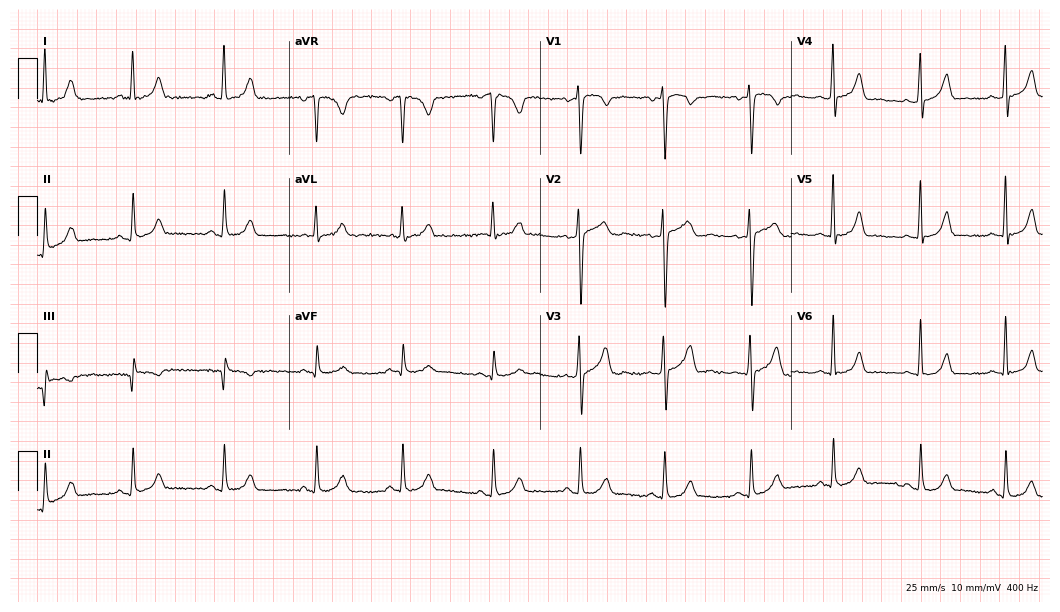
12-lead ECG (10.2-second recording at 400 Hz) from a 30-year-old female. Labelled as a normal ECG.